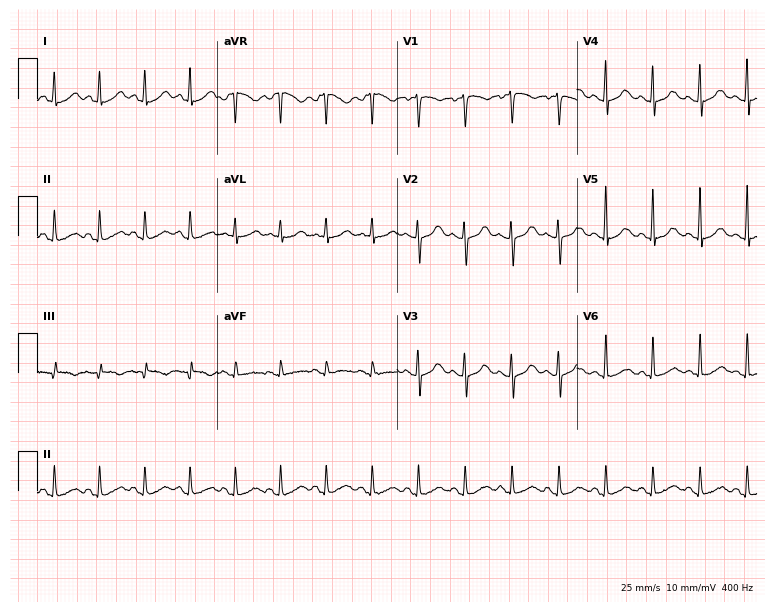
12-lead ECG from a 41-year-old woman (7.3-second recording at 400 Hz). Shows sinus tachycardia (a sinus rate of 100 beats per minute or more).